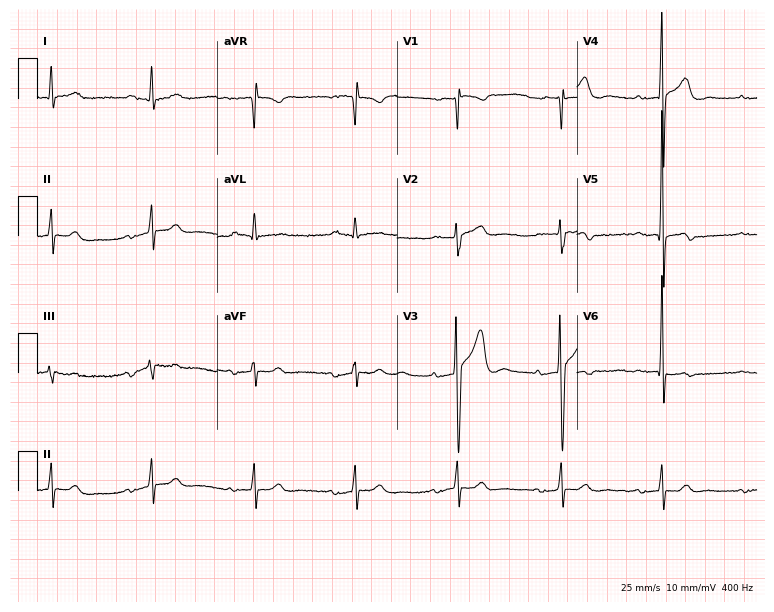
ECG (7.3-second recording at 400 Hz) — a male, 70 years old. Screened for six findings — first-degree AV block, right bundle branch block, left bundle branch block, sinus bradycardia, atrial fibrillation, sinus tachycardia — none is recorded.